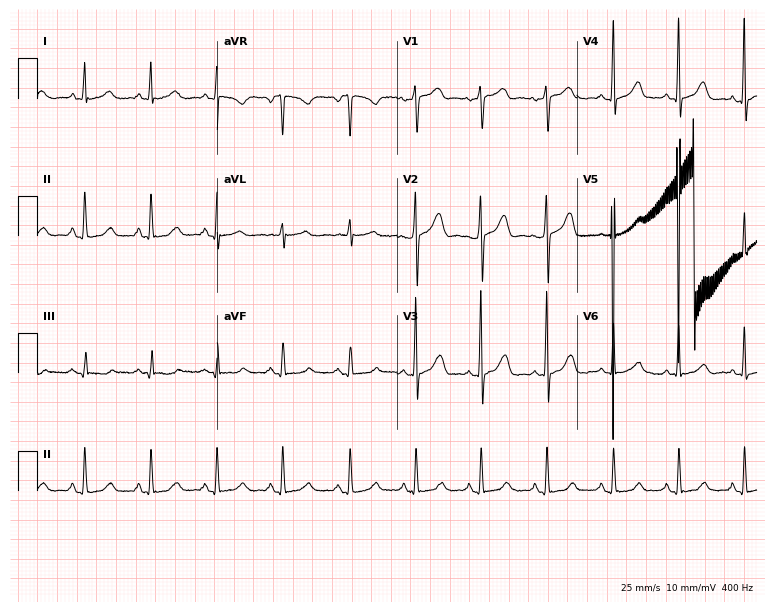
ECG (7.3-second recording at 400 Hz) — a 53-year-old female. Labelled as a normal ECG.